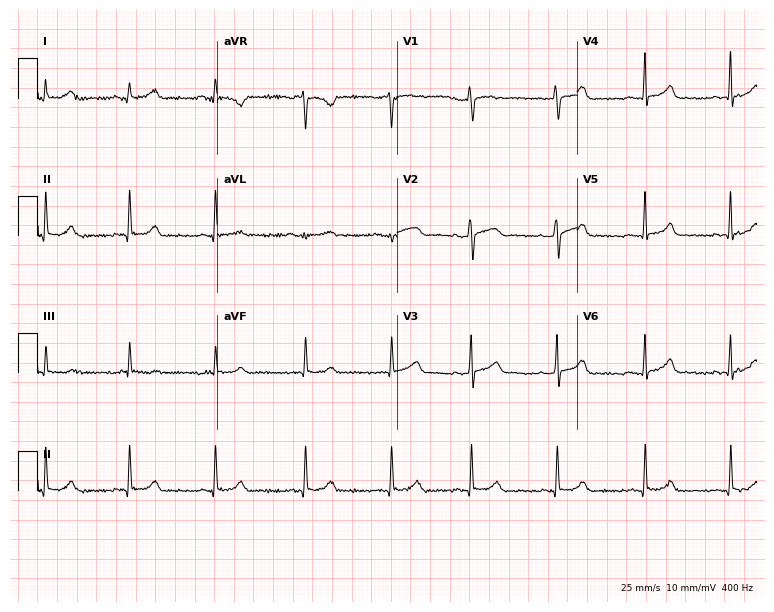
12-lead ECG from a 20-year-old female patient. Recorded interpretation: within normal limits.